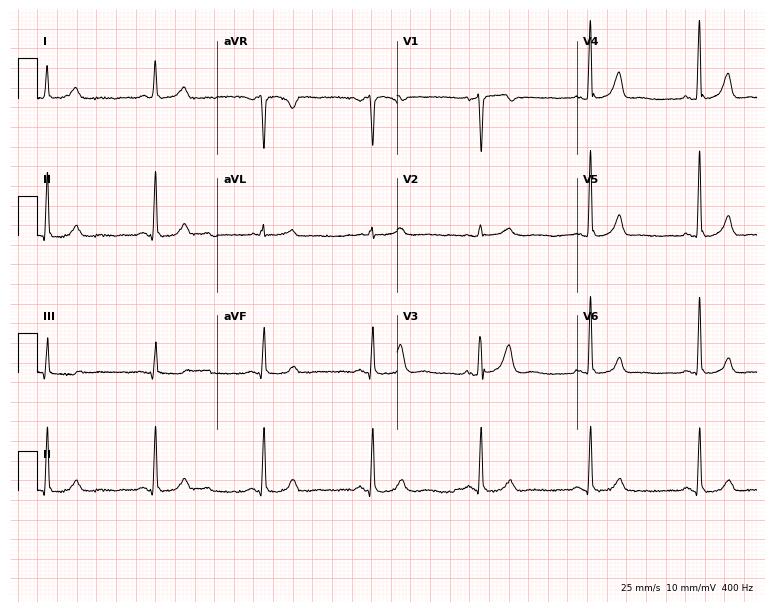
ECG — a 66-year-old male. Labelled as a normal ECG.